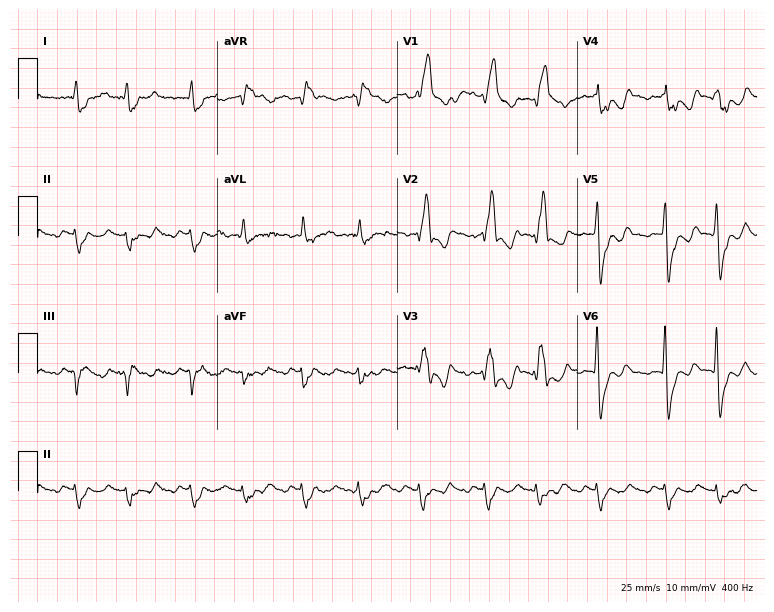
ECG — a male patient, 84 years old. Findings include right bundle branch block (RBBB), sinus tachycardia (a sinus rate of 100 beats per minute or more).